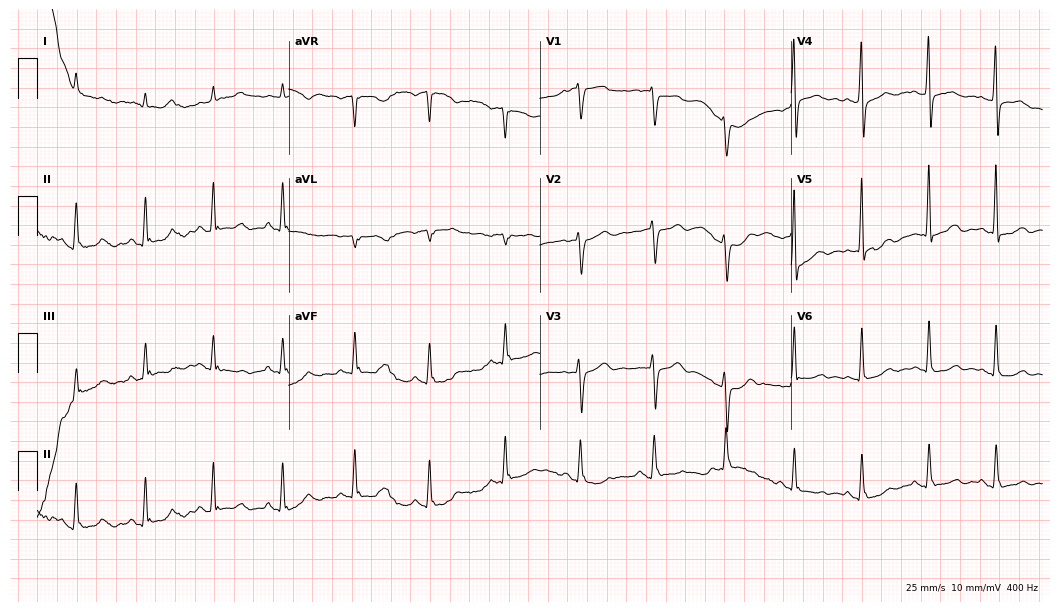
ECG — a 58-year-old female patient. Screened for six findings — first-degree AV block, right bundle branch block (RBBB), left bundle branch block (LBBB), sinus bradycardia, atrial fibrillation (AF), sinus tachycardia — none is recorded. Other findings, if any, are not listed.